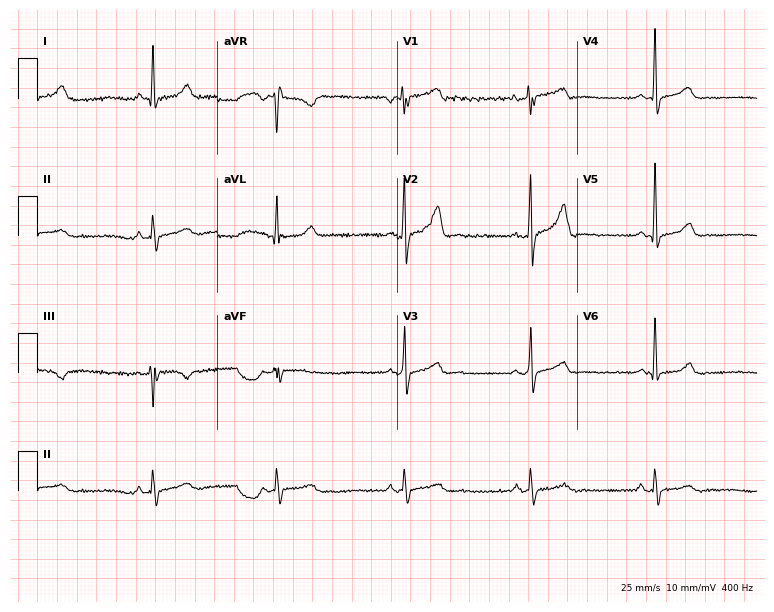
Electrocardiogram, a 31-year-old male. Interpretation includes sinus bradycardia (a sinus rate of 50 beats per minute or less).